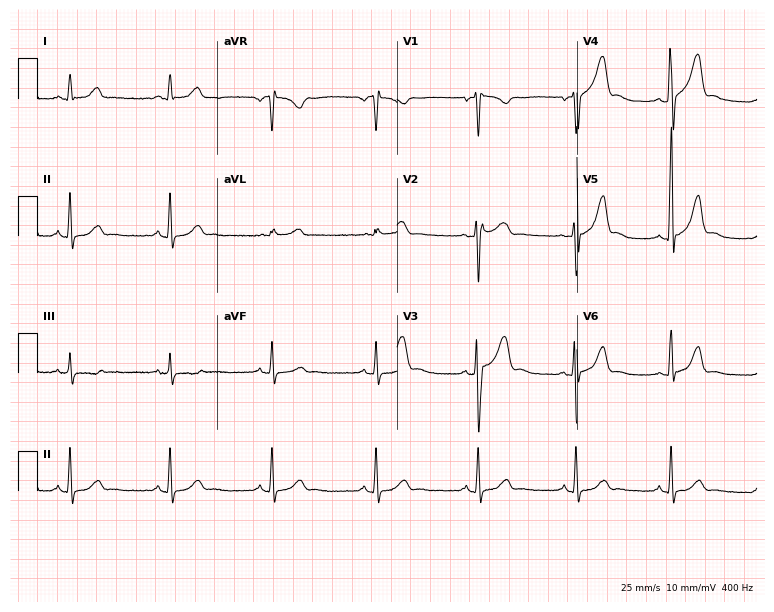
Standard 12-lead ECG recorded from a 35-year-old male patient (7.3-second recording at 400 Hz). Read as a normal ECG.